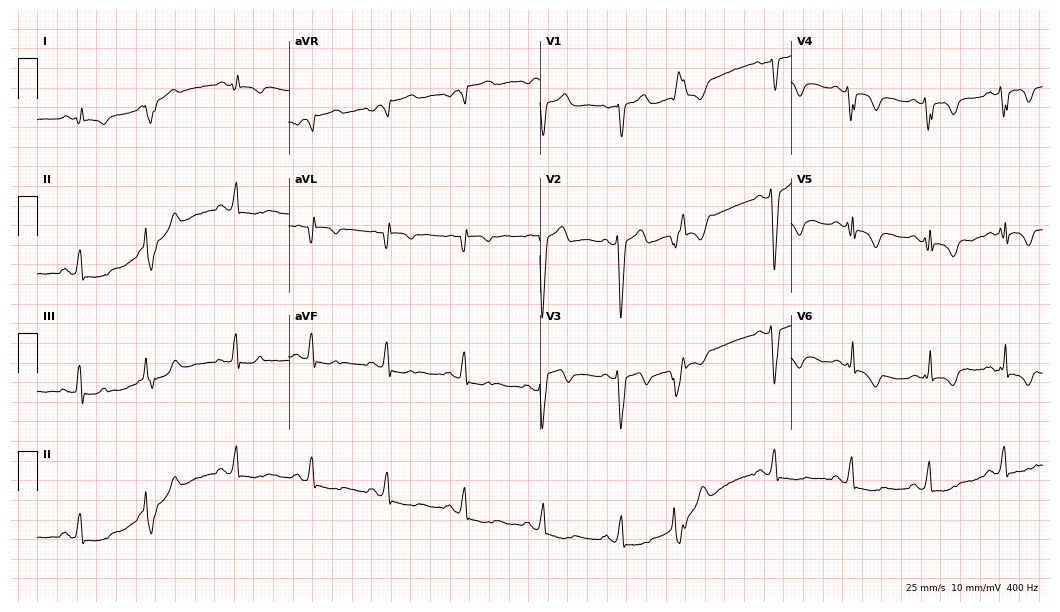
12-lead ECG from a male patient, 67 years old. No first-degree AV block, right bundle branch block, left bundle branch block, sinus bradycardia, atrial fibrillation or sinus tachycardia recorded for this tracing.